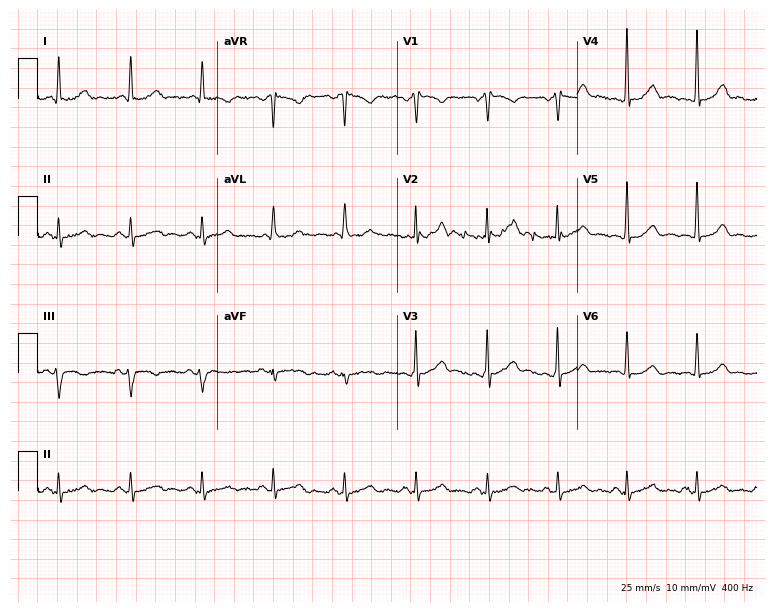
Electrocardiogram, a man, 59 years old. Overall reading on record: normal ECG.